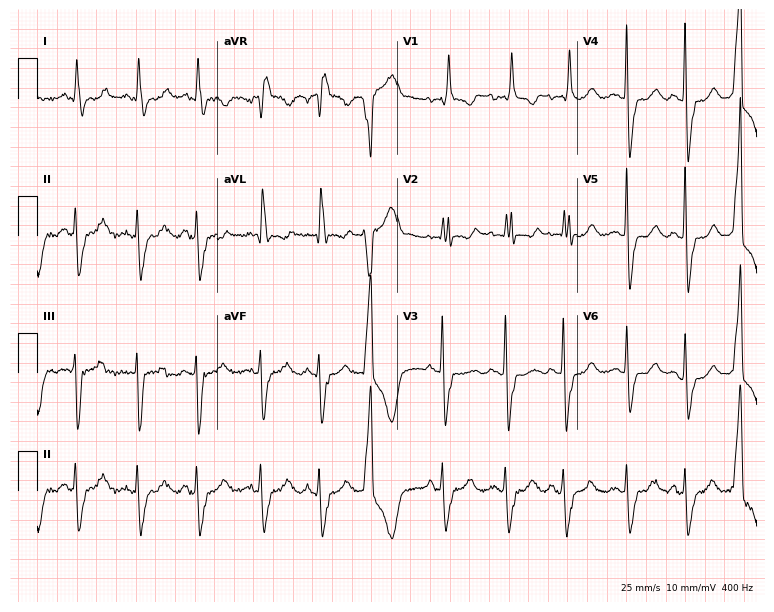
Electrocardiogram, a female patient, 70 years old. Interpretation includes right bundle branch block.